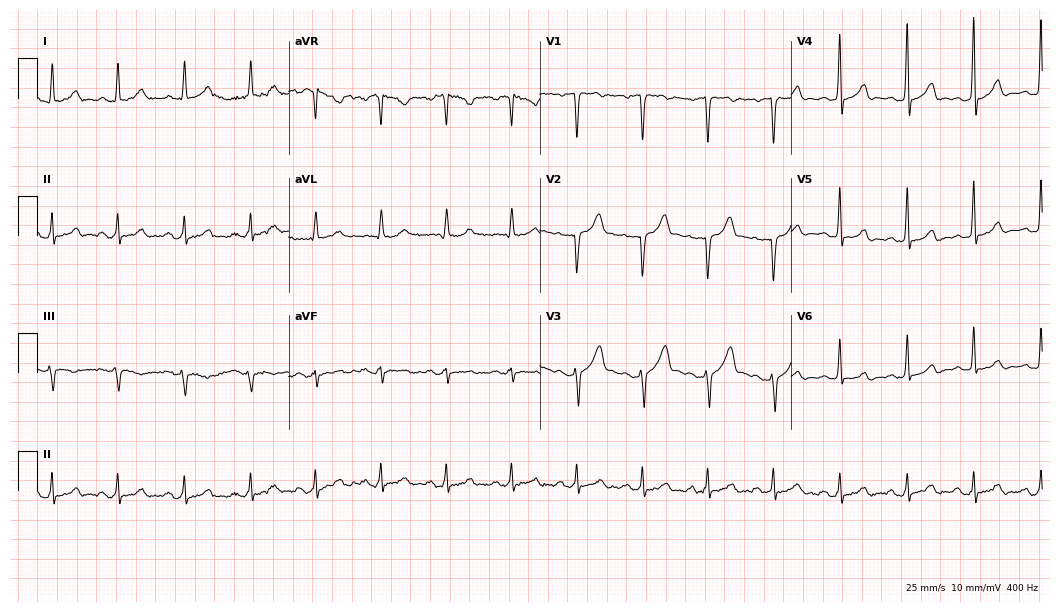
12-lead ECG (10.2-second recording at 400 Hz) from a male patient, 51 years old. Screened for six findings — first-degree AV block, right bundle branch block, left bundle branch block, sinus bradycardia, atrial fibrillation, sinus tachycardia — none is recorded. Findings outside these six are not listed.